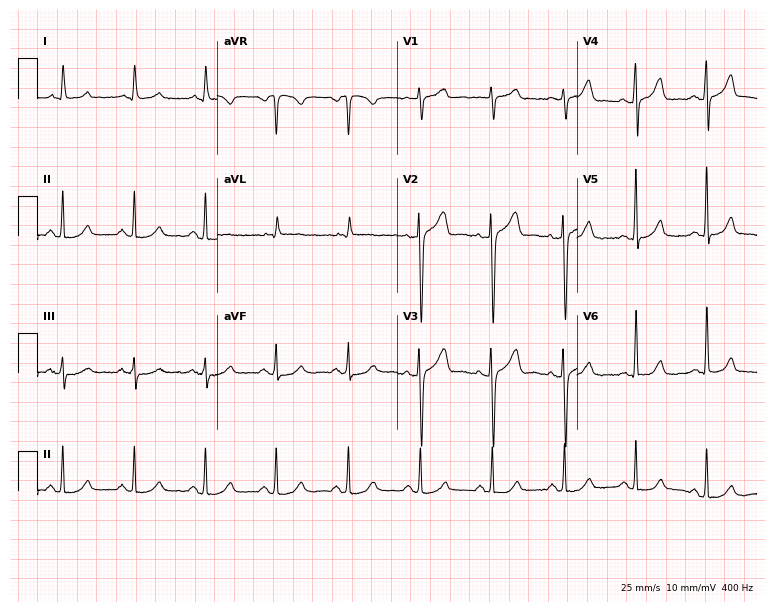
12-lead ECG (7.3-second recording at 400 Hz) from a 65-year-old male. Labelled as a normal ECG.